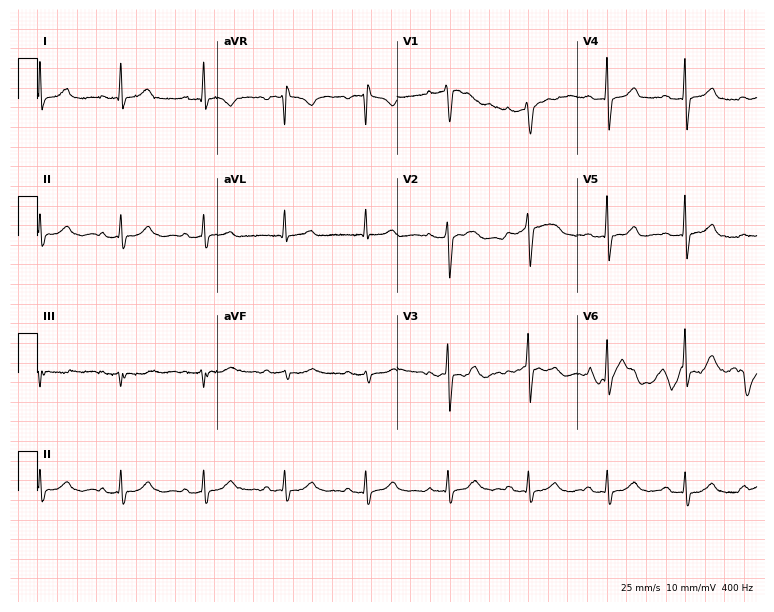
Resting 12-lead electrocardiogram (7.3-second recording at 400 Hz). Patient: a female, 65 years old. Read as a normal ECG.